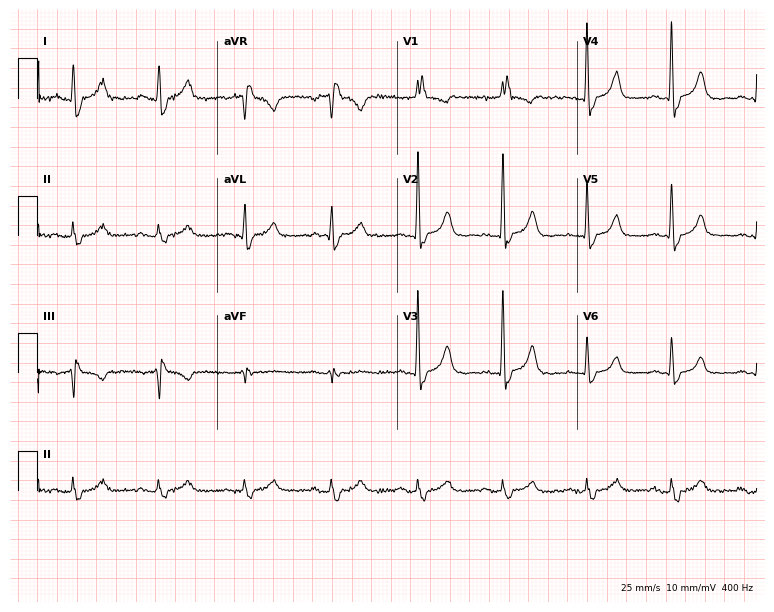
Electrocardiogram, a female, 78 years old. Interpretation includes right bundle branch block (RBBB).